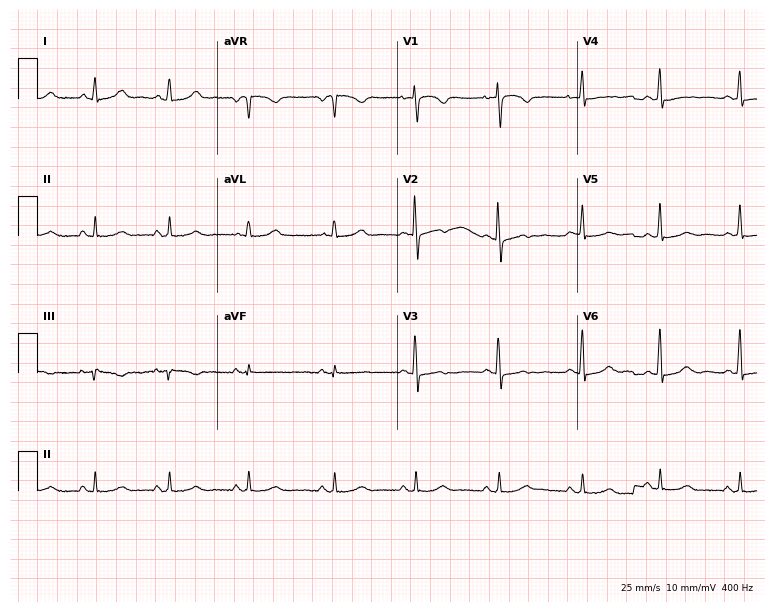
Standard 12-lead ECG recorded from a 55-year-old woman. Read as a normal ECG.